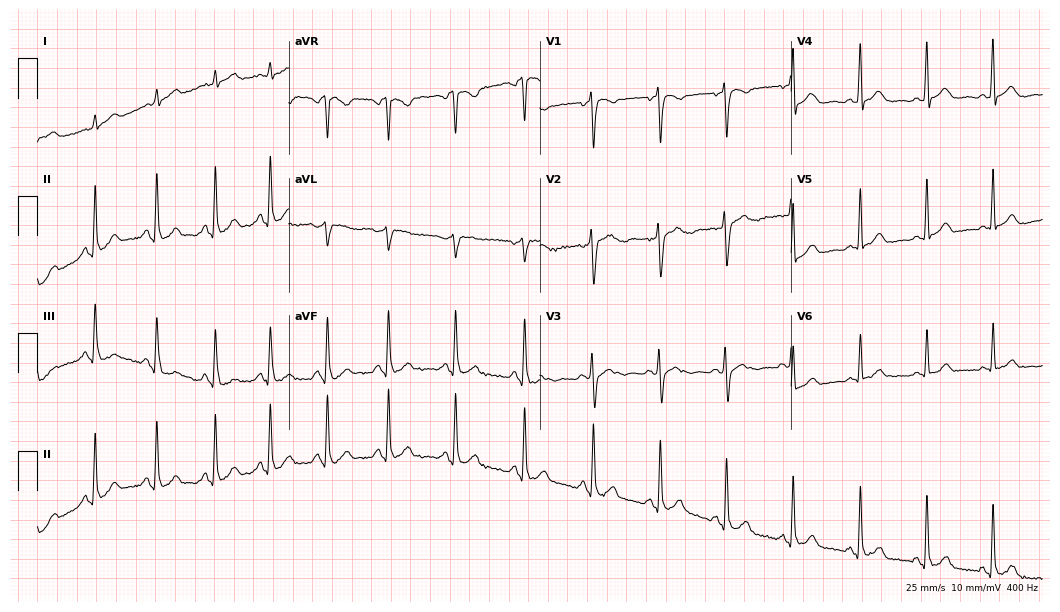
Resting 12-lead electrocardiogram (10.2-second recording at 400 Hz). Patient: an 18-year-old female. Read as a normal ECG.